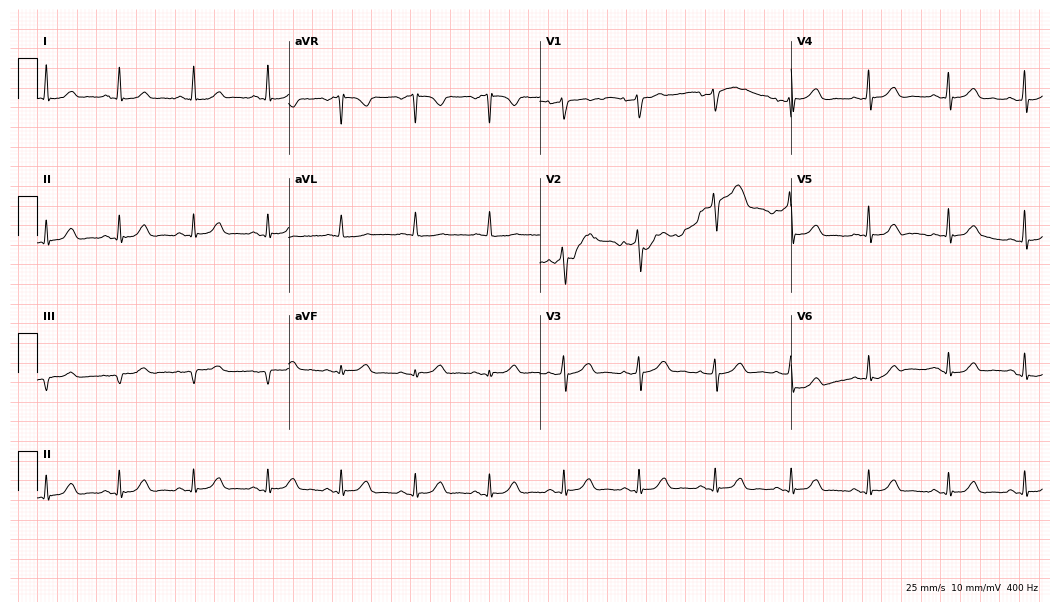
Electrocardiogram (10.2-second recording at 400 Hz), a woman, 51 years old. Overall reading on record: normal ECG.